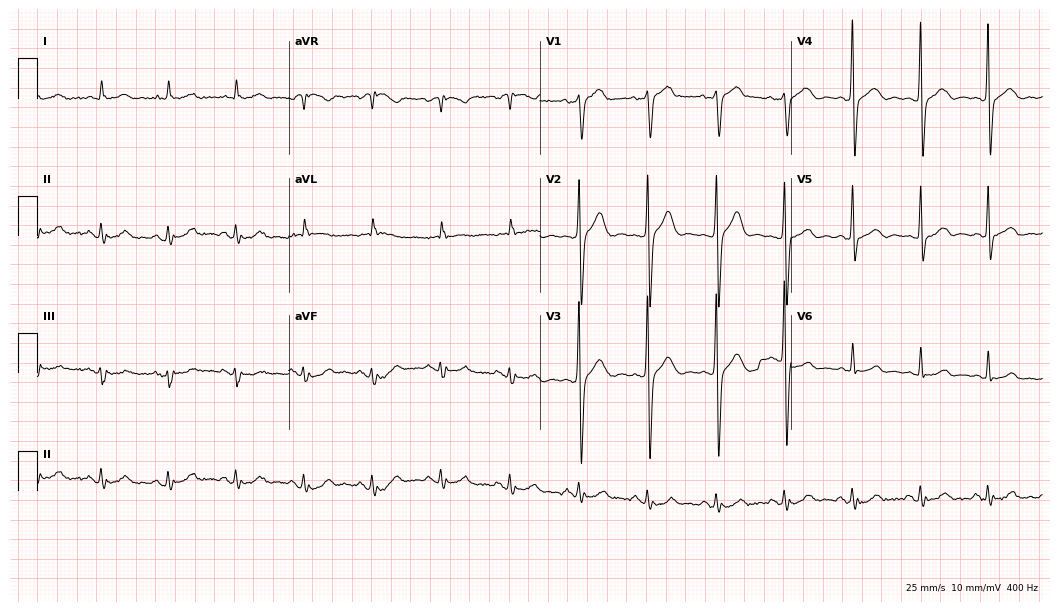
12-lead ECG (10.2-second recording at 400 Hz) from an 80-year-old male. Labelled as a normal ECG.